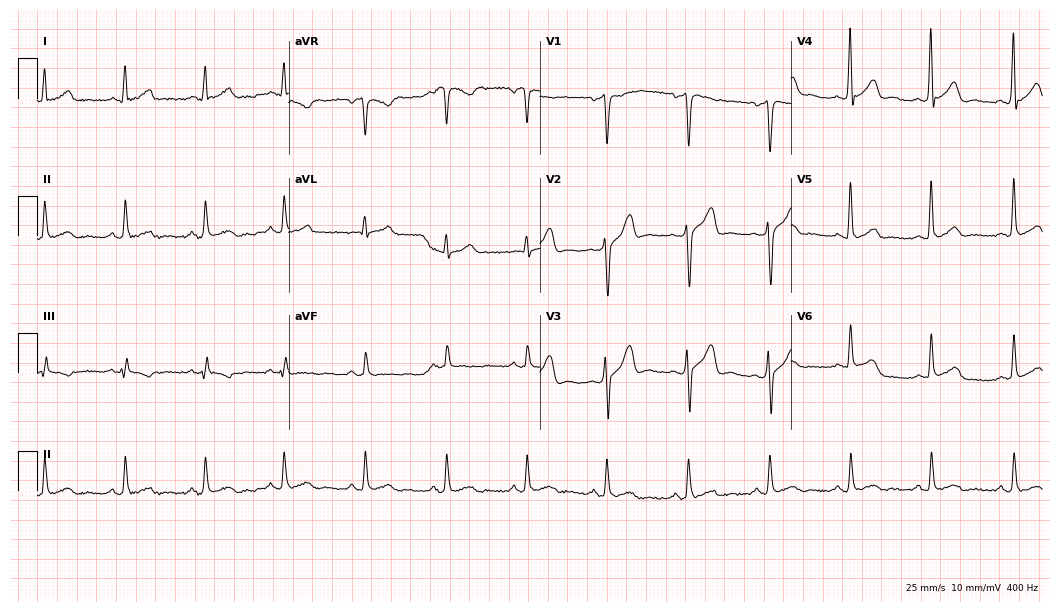
12-lead ECG from a 39-year-old male patient (10.2-second recording at 400 Hz). No first-degree AV block, right bundle branch block, left bundle branch block, sinus bradycardia, atrial fibrillation or sinus tachycardia recorded for this tracing. Other findings, if any, are not listed.